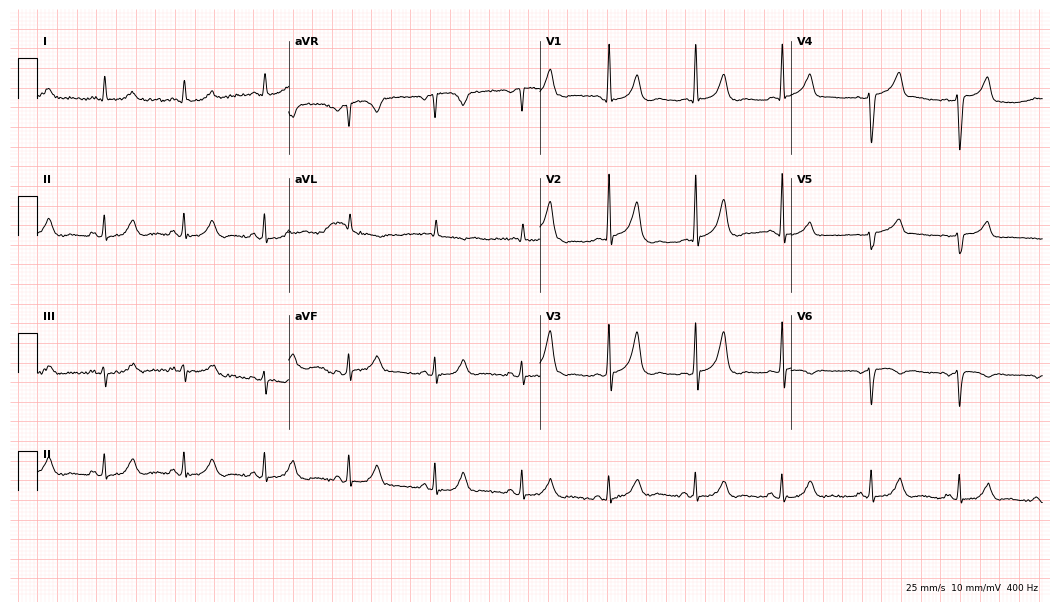
12-lead ECG from a male, 60 years old (10.2-second recording at 400 Hz). No first-degree AV block, right bundle branch block (RBBB), left bundle branch block (LBBB), sinus bradycardia, atrial fibrillation (AF) or sinus tachycardia recorded for this tracing.